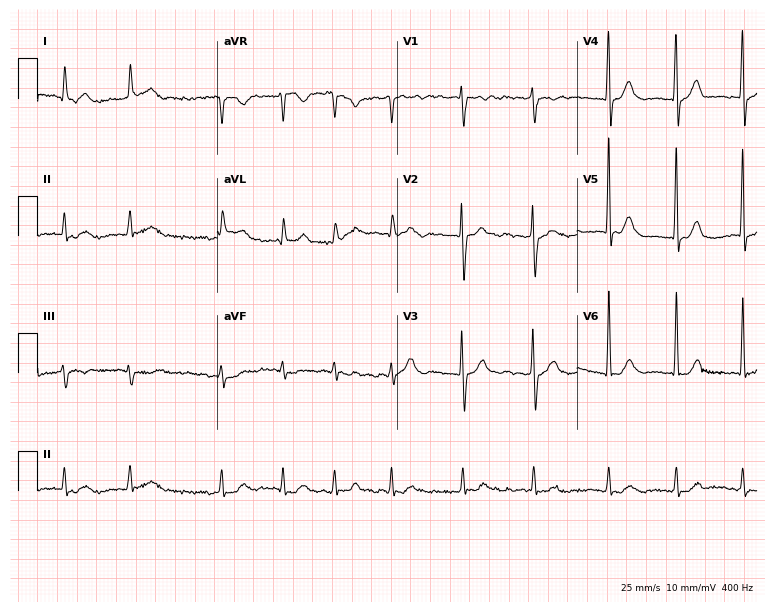
Resting 12-lead electrocardiogram (7.3-second recording at 400 Hz). Patient: an 87-year-old female. The tracing shows atrial fibrillation.